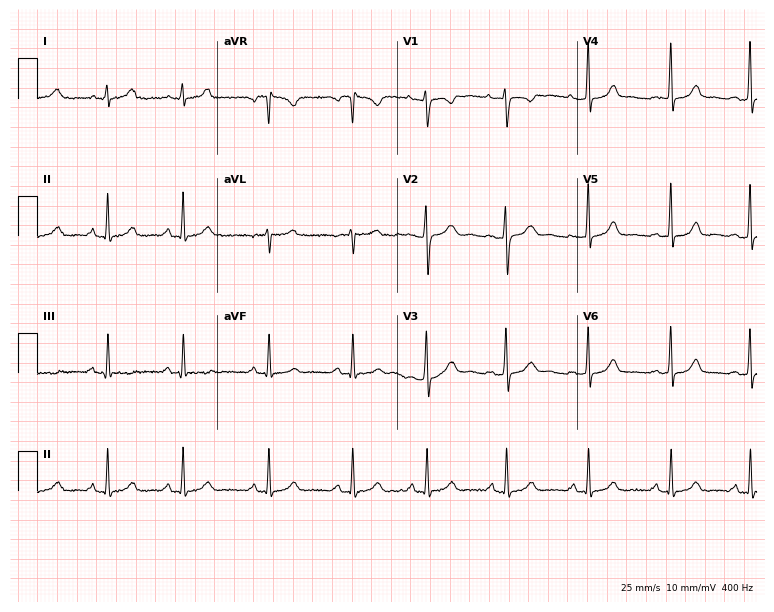
Electrocardiogram (7.3-second recording at 400 Hz), a female, 18 years old. Of the six screened findings (first-degree AV block, right bundle branch block, left bundle branch block, sinus bradycardia, atrial fibrillation, sinus tachycardia), none is recorded.